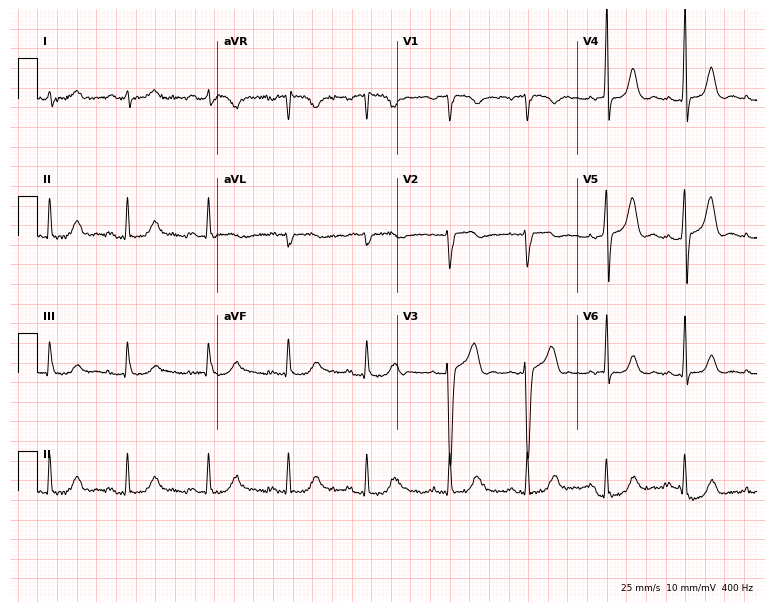
Standard 12-lead ECG recorded from a 37-year-old male patient (7.3-second recording at 400 Hz). None of these six findings is recorded: first-degree AV block, right bundle branch block (RBBB), left bundle branch block (LBBB), sinus bradycardia, atrial fibrillation (AF), sinus tachycardia. Only these six findings were labelled.